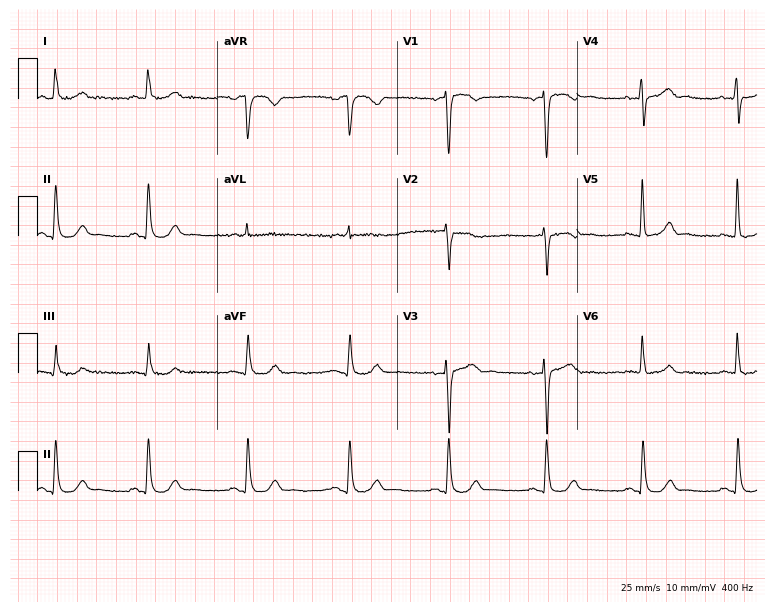
Resting 12-lead electrocardiogram (7.3-second recording at 400 Hz). Patient: a 64-year-old female. Read as a normal ECG.